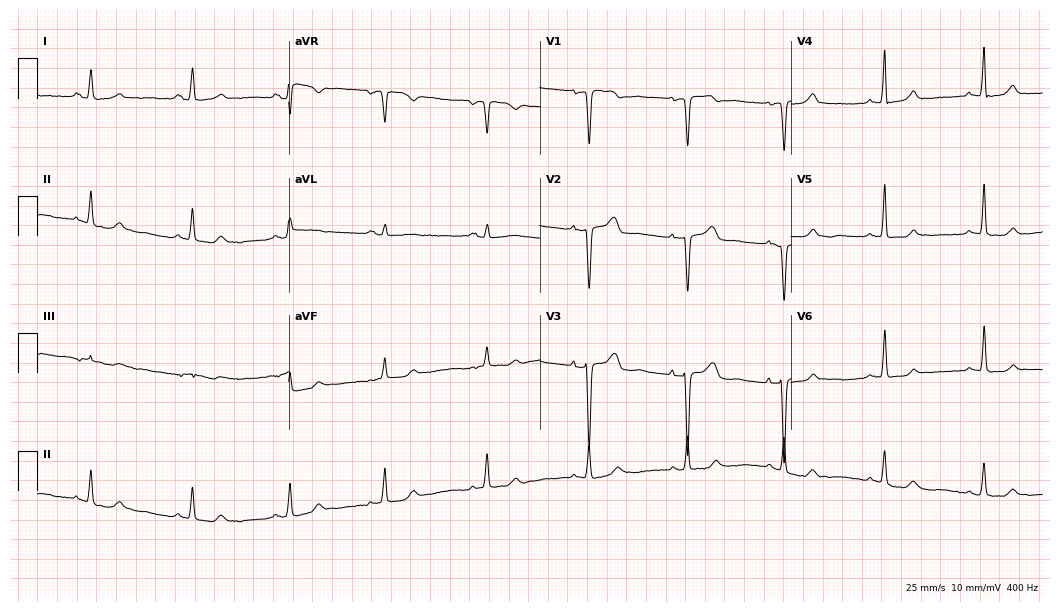
ECG — a woman, 56 years old. Labelled as a normal ECG.